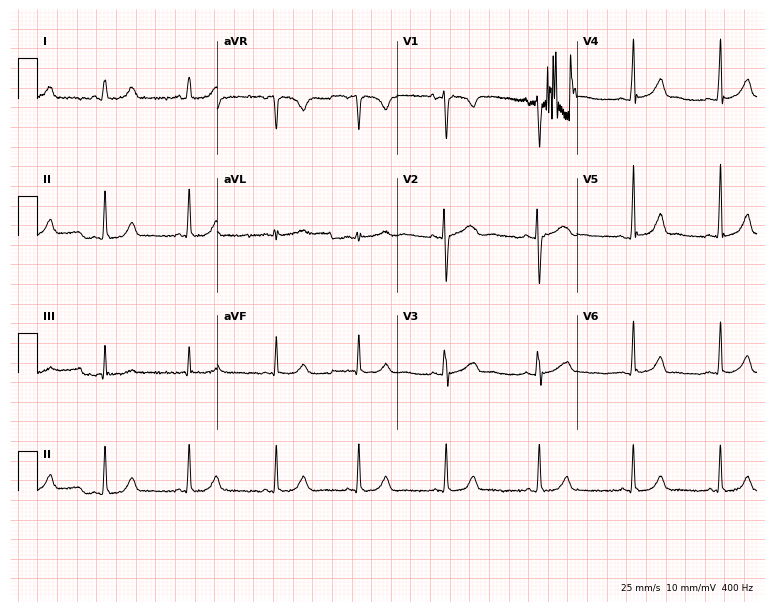
Standard 12-lead ECG recorded from a female, 26 years old. Read as a normal ECG.